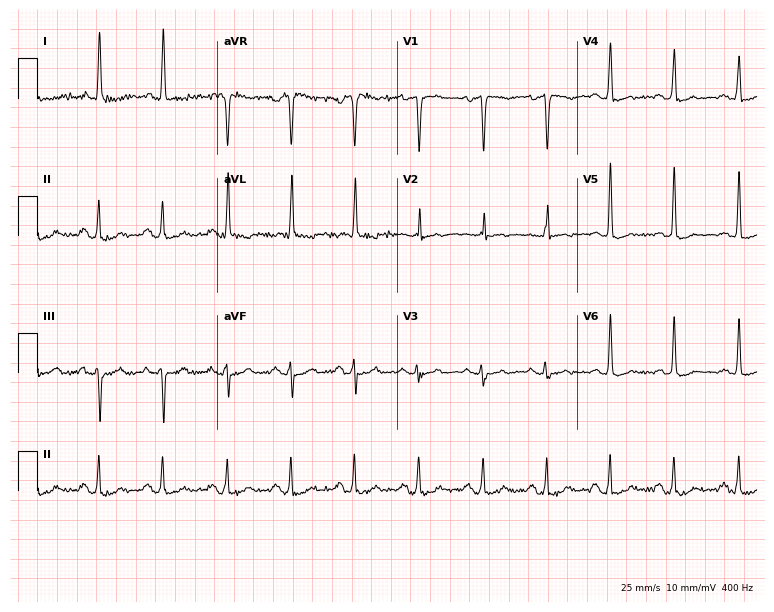
Standard 12-lead ECG recorded from a female, 69 years old. None of these six findings is recorded: first-degree AV block, right bundle branch block, left bundle branch block, sinus bradycardia, atrial fibrillation, sinus tachycardia. Other findings, if any, are not listed.